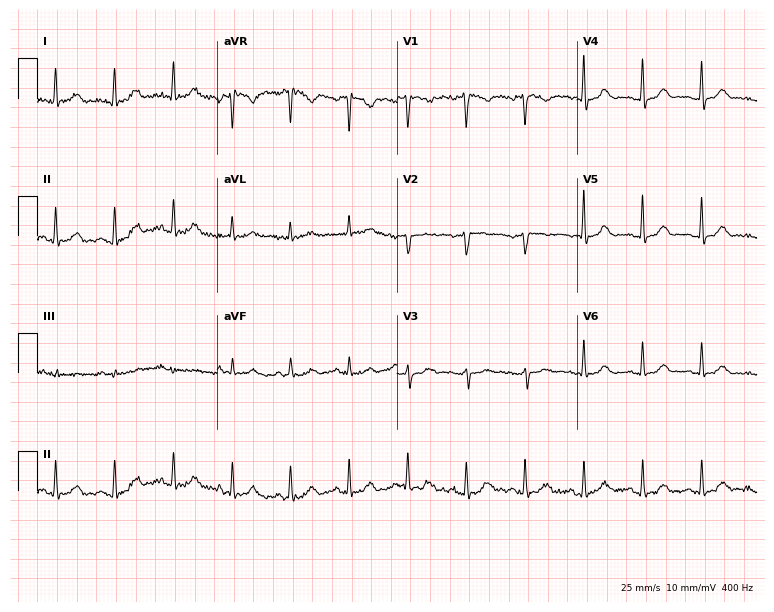
ECG (7.3-second recording at 400 Hz) — a female, 63 years old. Labelled as a normal ECG.